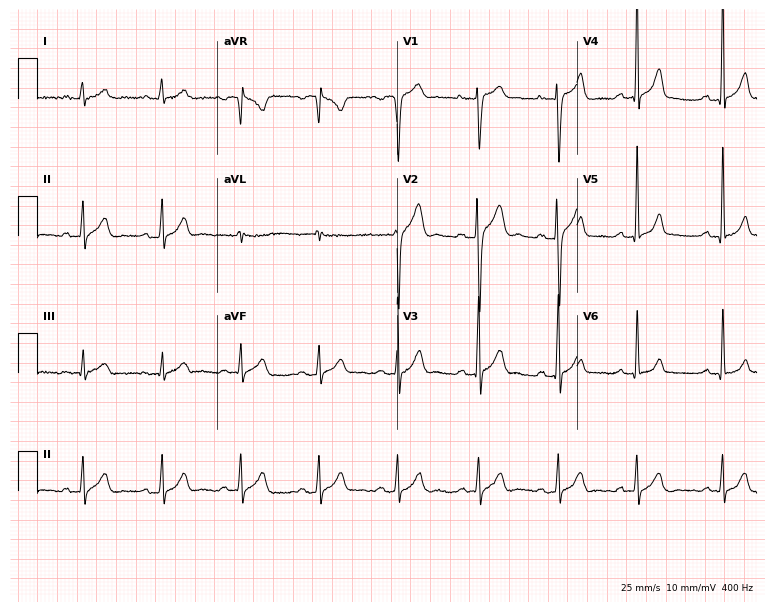
12-lead ECG from a 19-year-old male. Recorded interpretation: within normal limits.